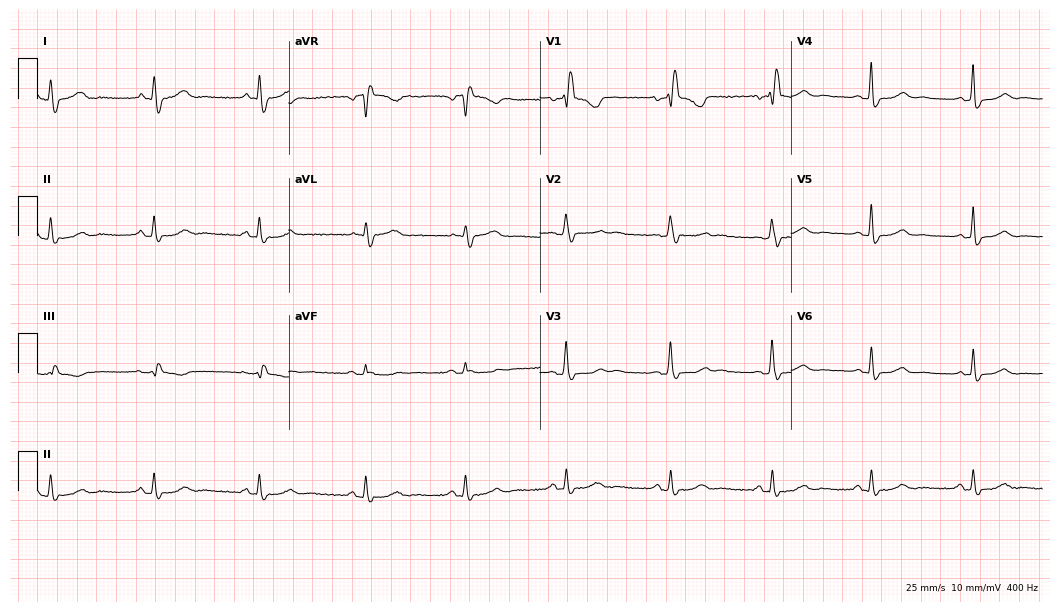
Resting 12-lead electrocardiogram. Patient: a woman, 64 years old. The tracing shows right bundle branch block.